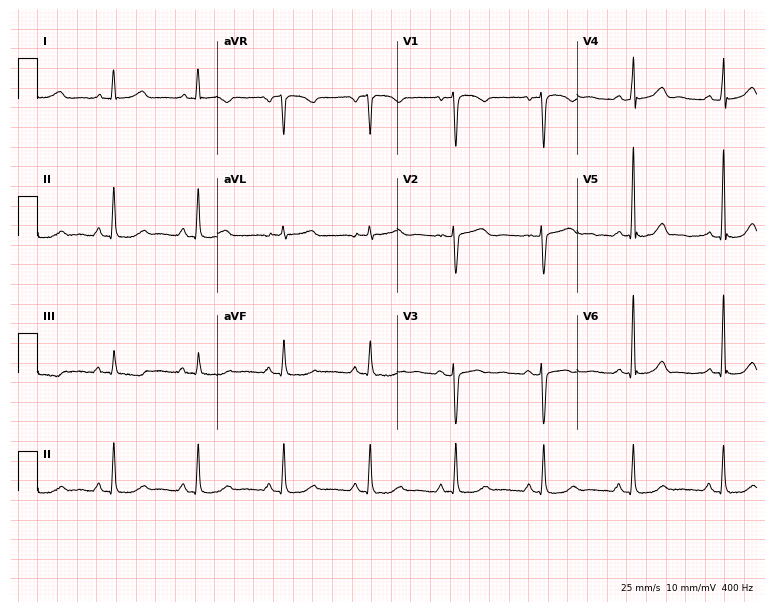
Electrocardiogram (7.3-second recording at 400 Hz), a female, 49 years old. Overall reading on record: normal ECG.